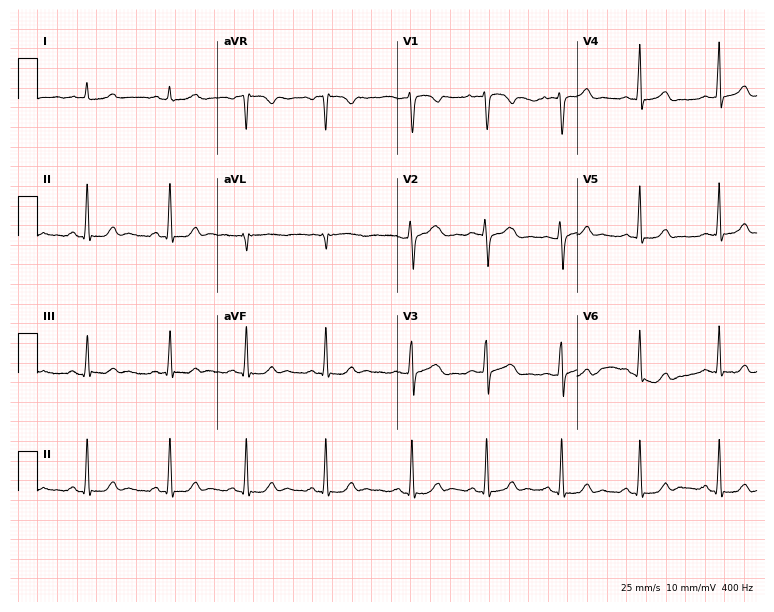
Electrocardiogram, a woman, 22 years old. Overall reading on record: normal ECG.